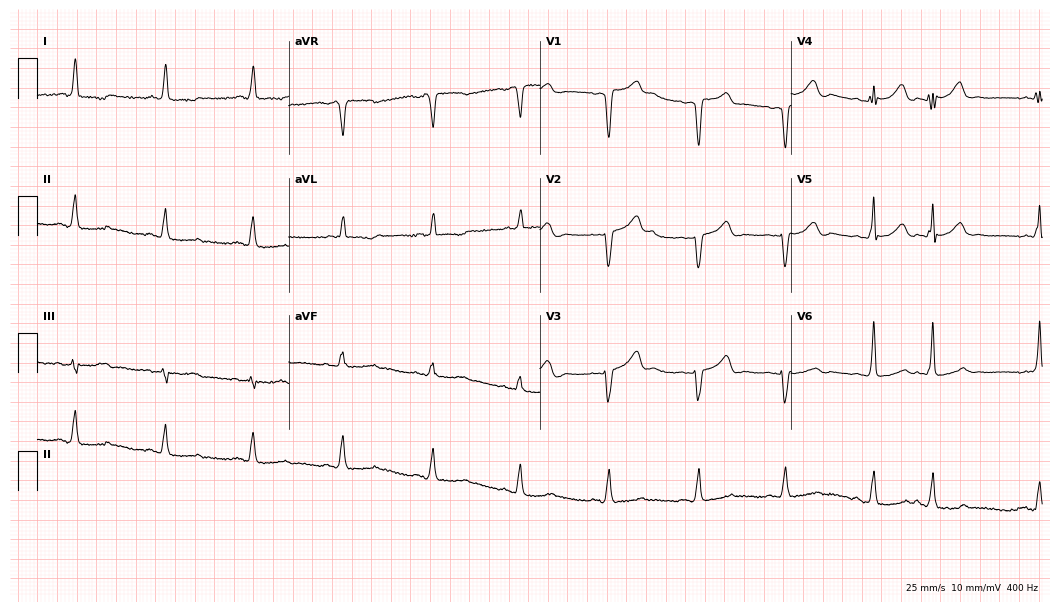
Standard 12-lead ECG recorded from a woman, 68 years old (10.2-second recording at 400 Hz). None of these six findings is recorded: first-degree AV block, right bundle branch block (RBBB), left bundle branch block (LBBB), sinus bradycardia, atrial fibrillation (AF), sinus tachycardia. Only these six findings were labelled.